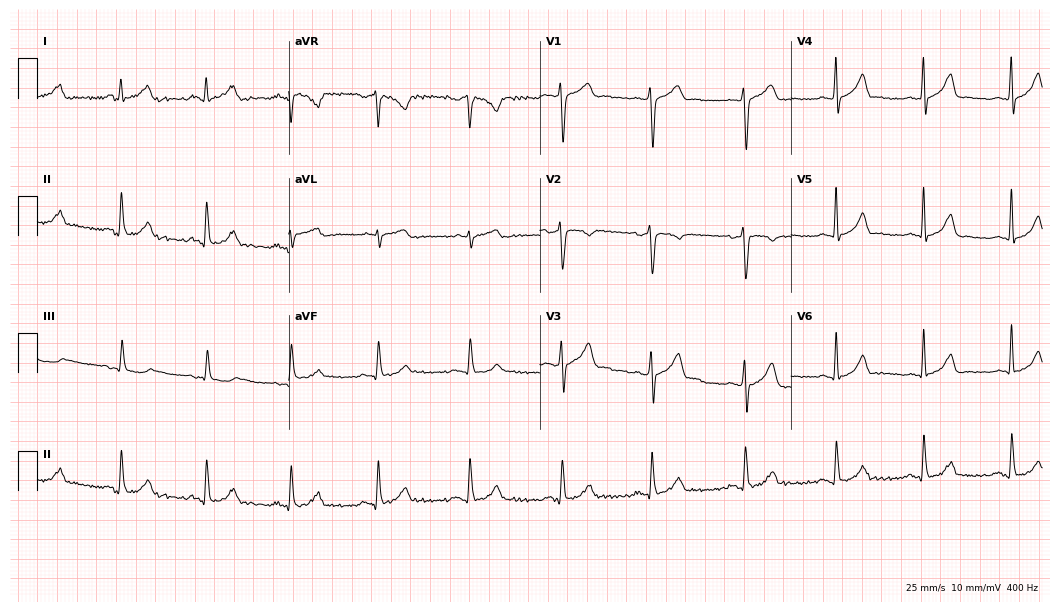
12-lead ECG from a male, 30 years old (10.2-second recording at 400 Hz). Recorded interpretation: within normal limits.